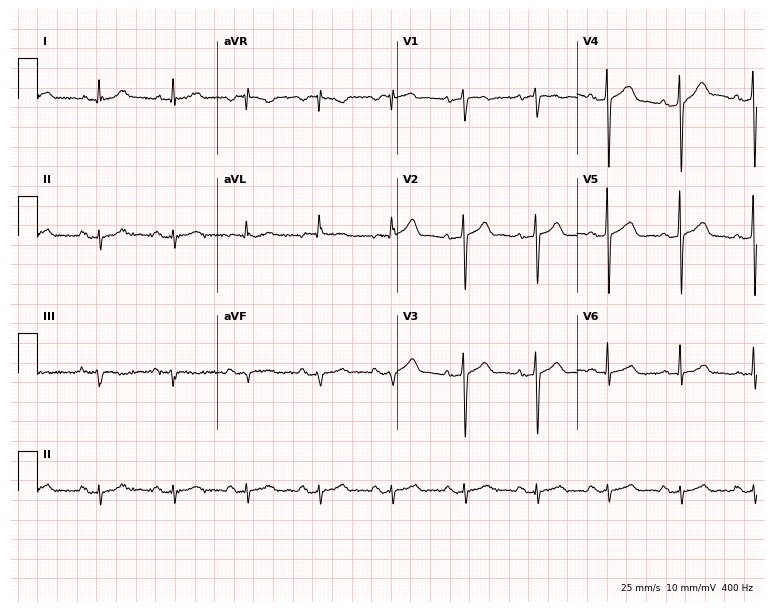
ECG — a 58-year-old man. Screened for six findings — first-degree AV block, right bundle branch block (RBBB), left bundle branch block (LBBB), sinus bradycardia, atrial fibrillation (AF), sinus tachycardia — none is recorded. Other findings, if any, are not listed.